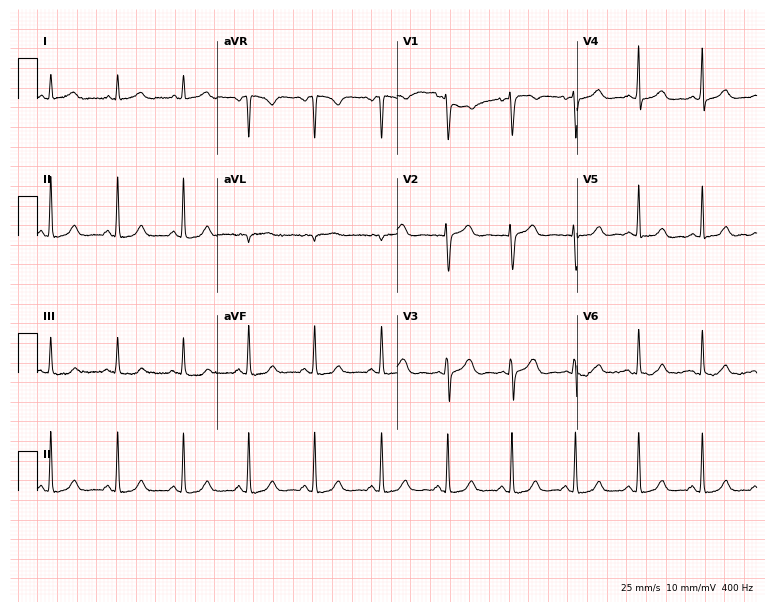
Standard 12-lead ECG recorded from a female patient, 21 years old (7.3-second recording at 400 Hz). Read as a normal ECG.